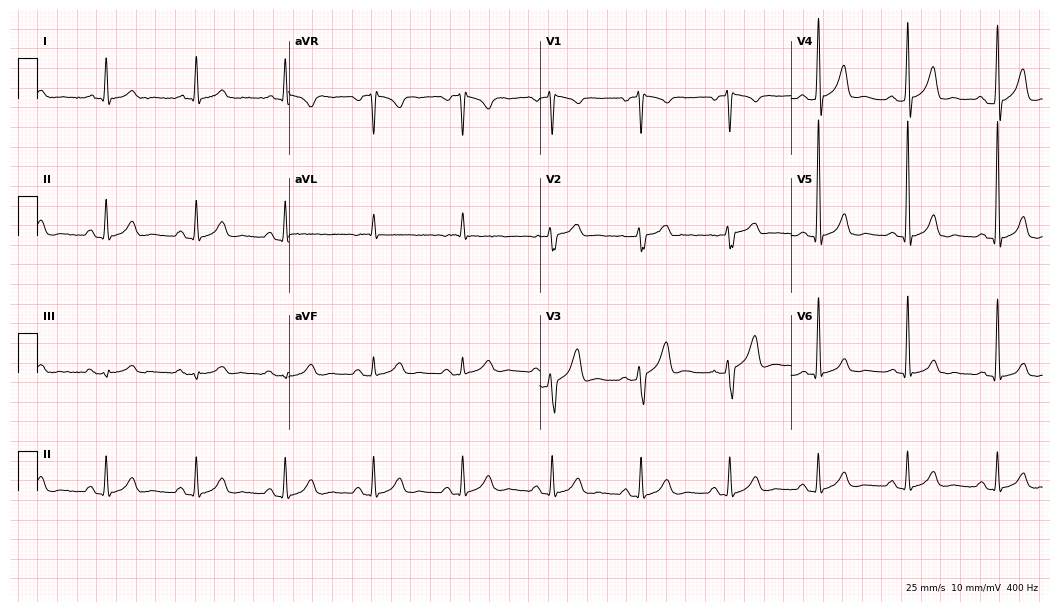
12-lead ECG from a 70-year-old man (10.2-second recording at 400 Hz). No first-degree AV block, right bundle branch block (RBBB), left bundle branch block (LBBB), sinus bradycardia, atrial fibrillation (AF) or sinus tachycardia recorded for this tracing. Findings outside these six are not listed.